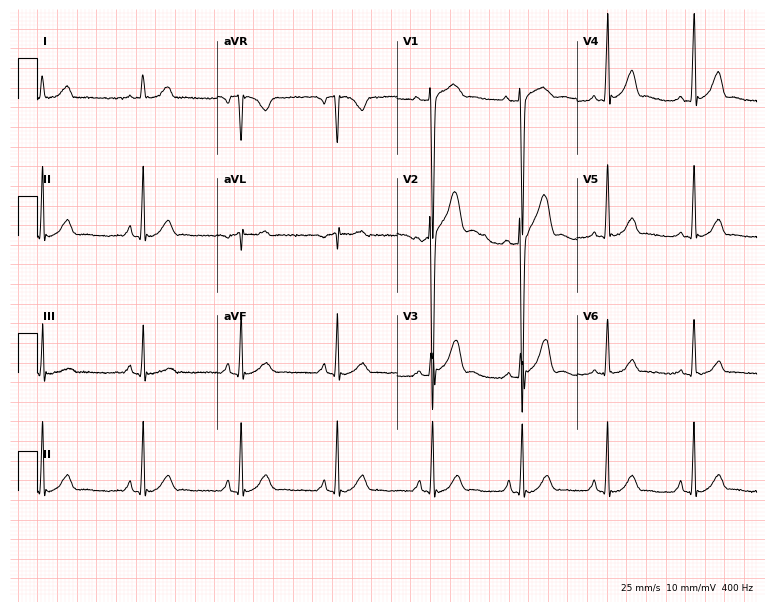
Resting 12-lead electrocardiogram (7.3-second recording at 400 Hz). Patient: a male, 21 years old. None of these six findings is recorded: first-degree AV block, right bundle branch block, left bundle branch block, sinus bradycardia, atrial fibrillation, sinus tachycardia.